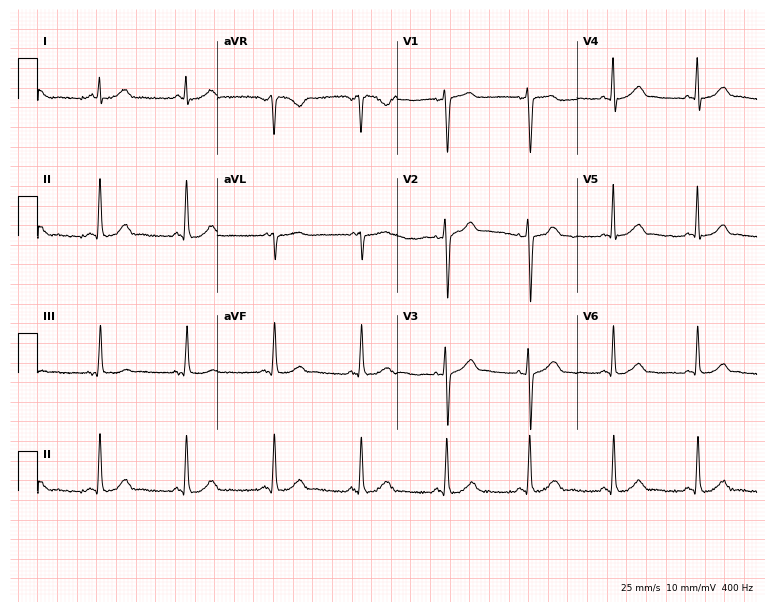
12-lead ECG from a male patient, 47 years old (7.3-second recording at 400 Hz). Recorded interpretation: within normal limits.